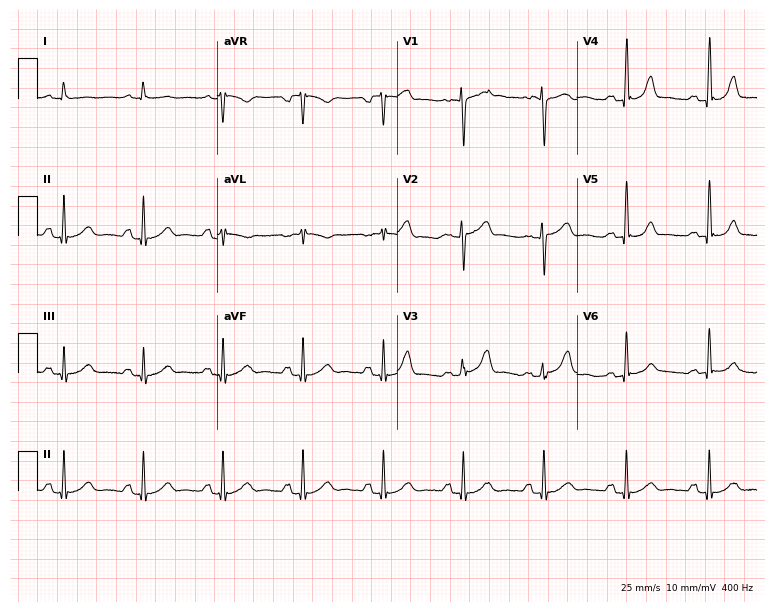
Standard 12-lead ECG recorded from a woman, 65 years old. Read as a normal ECG.